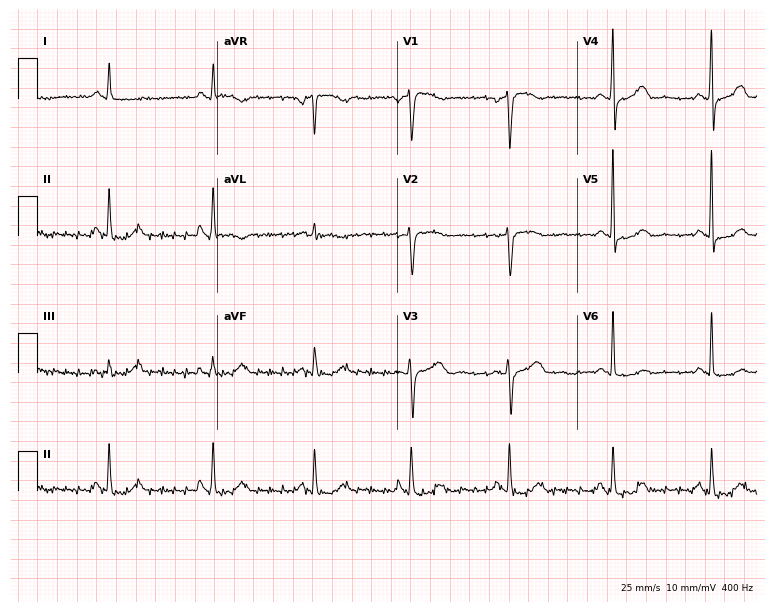
12-lead ECG from a 72-year-old female patient. No first-degree AV block, right bundle branch block, left bundle branch block, sinus bradycardia, atrial fibrillation or sinus tachycardia recorded for this tracing. Findings outside these six are not listed.